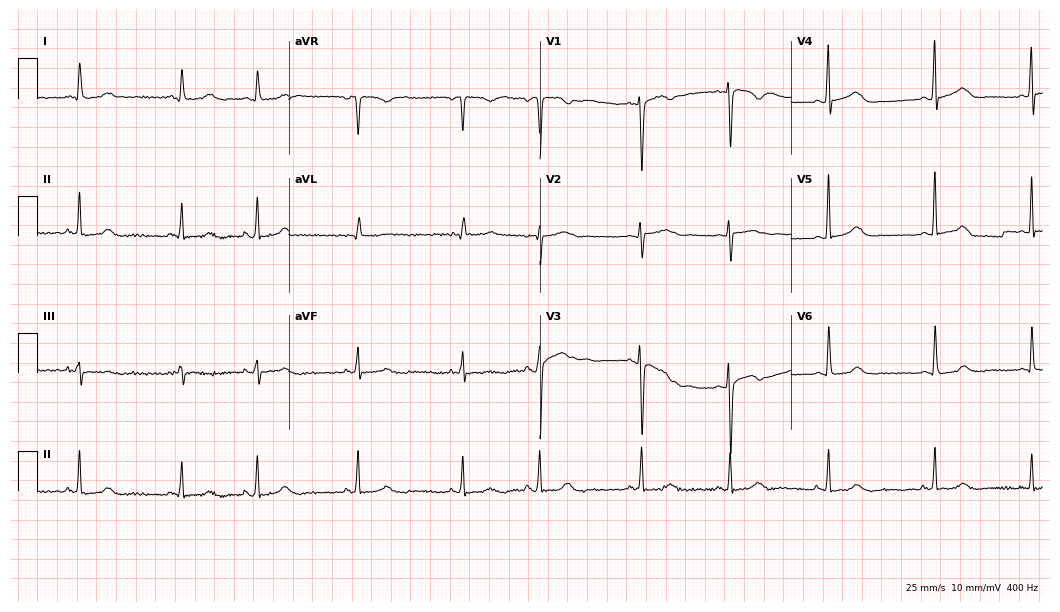
Electrocardiogram (10.2-second recording at 400 Hz), a female patient, 18 years old. Of the six screened findings (first-degree AV block, right bundle branch block, left bundle branch block, sinus bradycardia, atrial fibrillation, sinus tachycardia), none is recorded.